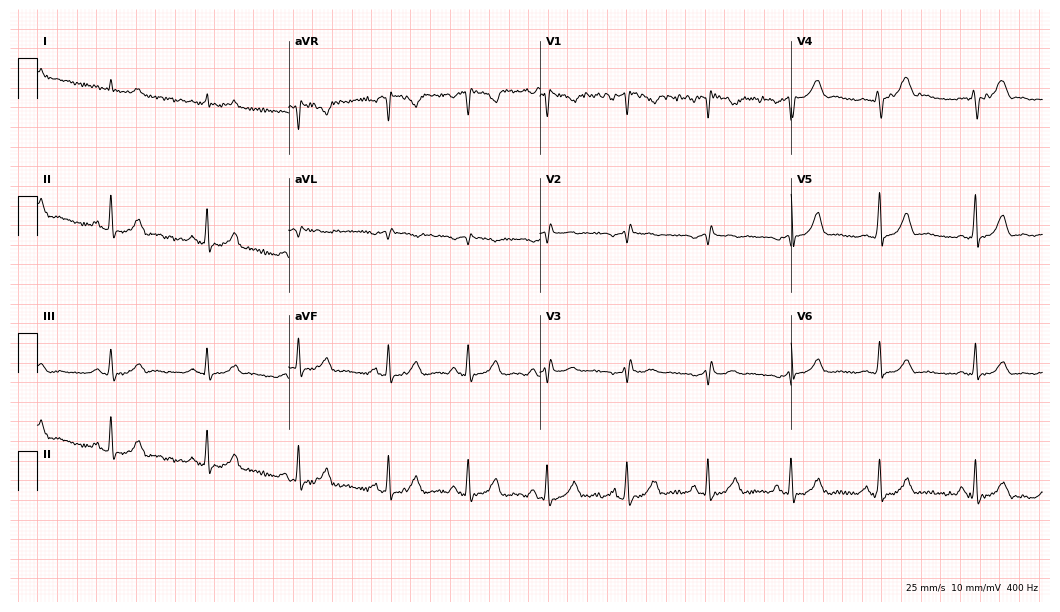
Standard 12-lead ECG recorded from a male patient, 42 years old. None of these six findings is recorded: first-degree AV block, right bundle branch block (RBBB), left bundle branch block (LBBB), sinus bradycardia, atrial fibrillation (AF), sinus tachycardia. Other findings, if any, are not listed.